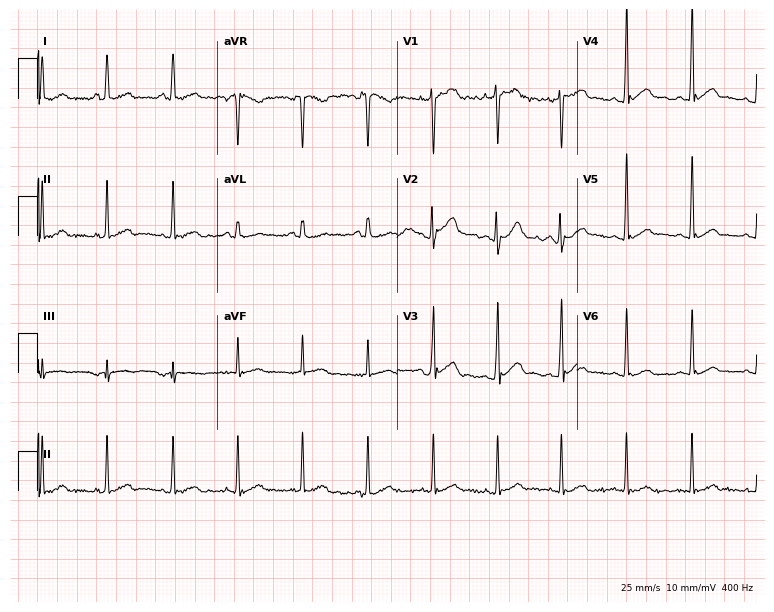
12-lead ECG from a 31-year-old male patient. Labelled as a normal ECG.